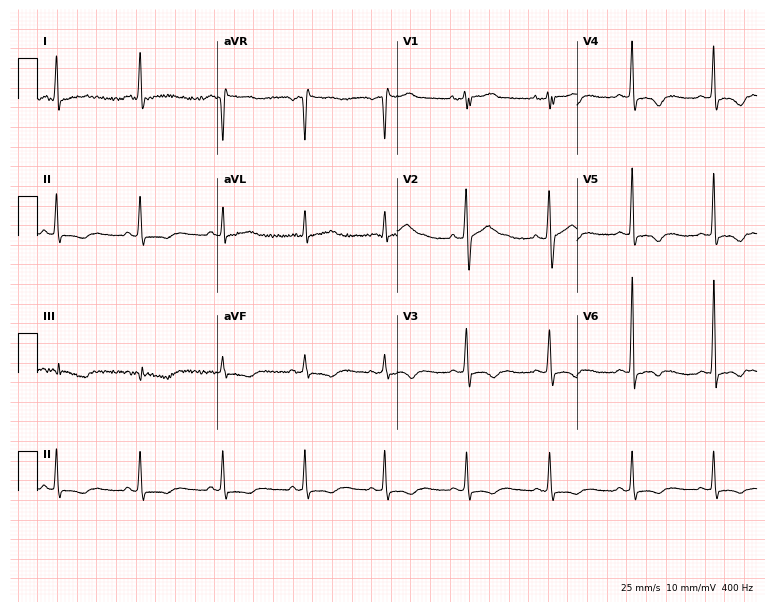
Electrocardiogram (7.3-second recording at 400 Hz), a man, 44 years old. Of the six screened findings (first-degree AV block, right bundle branch block, left bundle branch block, sinus bradycardia, atrial fibrillation, sinus tachycardia), none is recorded. Only these six findings were labelled.